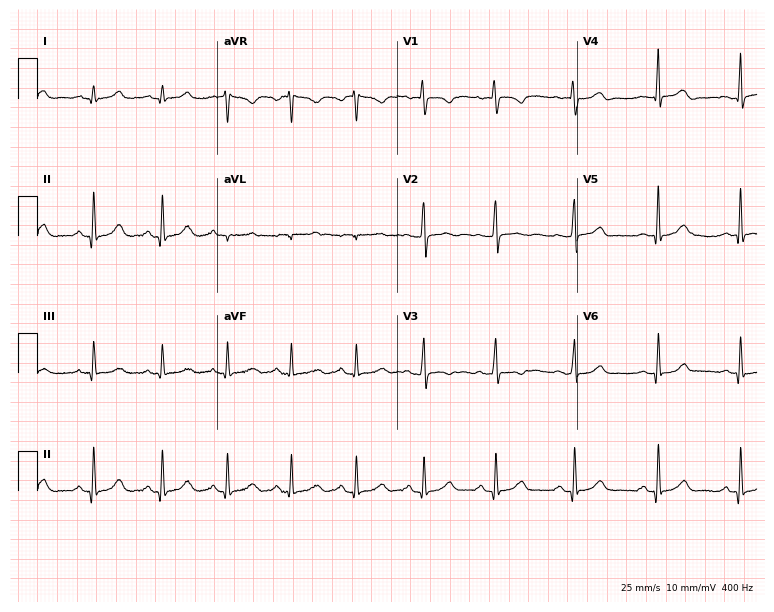
Resting 12-lead electrocardiogram. Patient: a 19-year-old female. Read as a normal ECG.